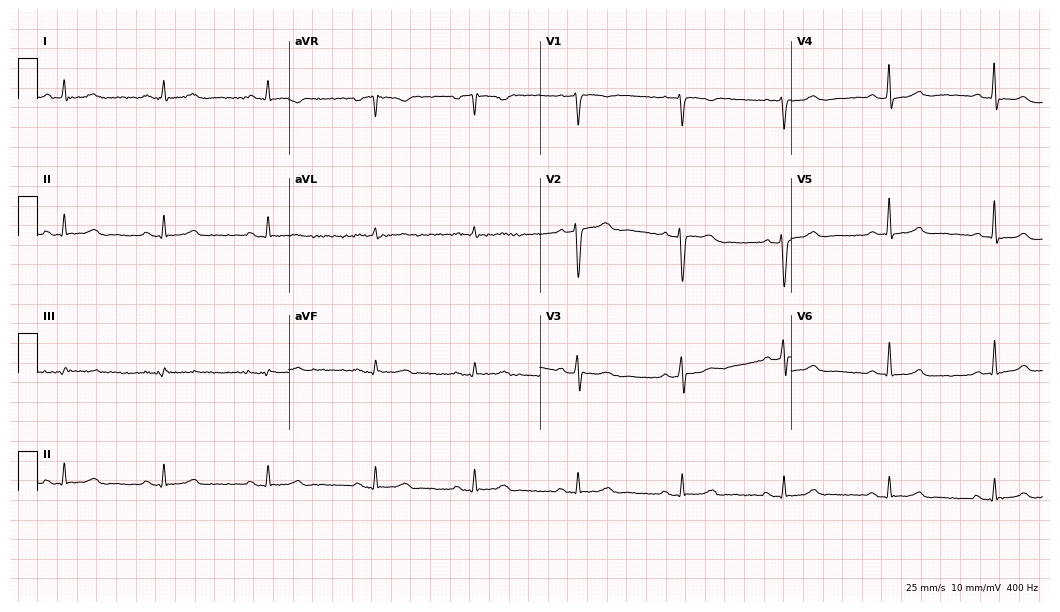
12-lead ECG from a 39-year-old female patient (10.2-second recording at 400 Hz). No first-degree AV block, right bundle branch block (RBBB), left bundle branch block (LBBB), sinus bradycardia, atrial fibrillation (AF) or sinus tachycardia recorded for this tracing. Findings outside these six are not listed.